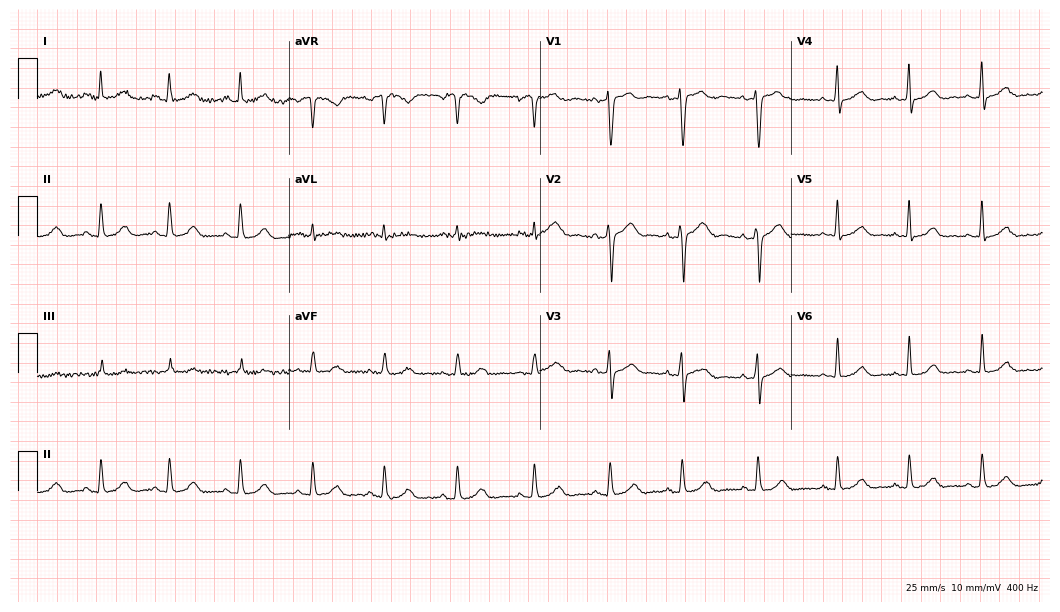
Resting 12-lead electrocardiogram. Patient: a female, 33 years old. Read as a normal ECG.